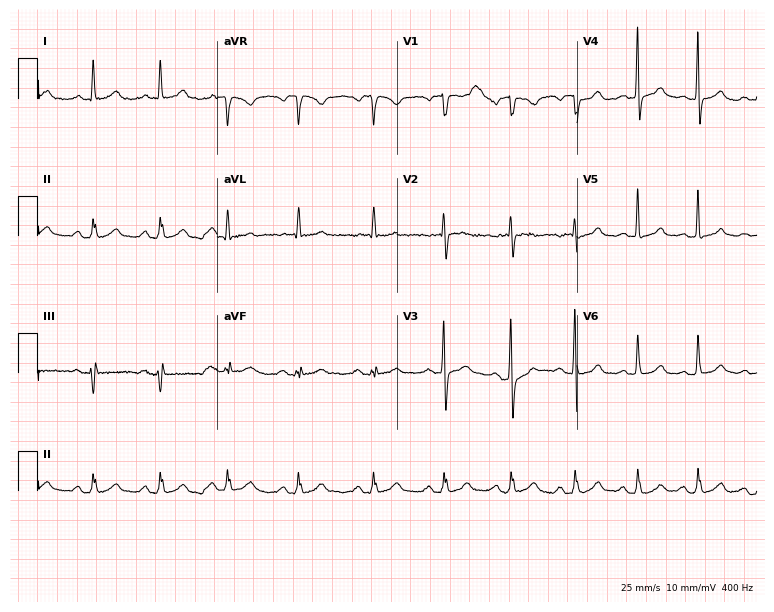
Standard 12-lead ECG recorded from a 65-year-old female (7.3-second recording at 400 Hz). Read as a normal ECG.